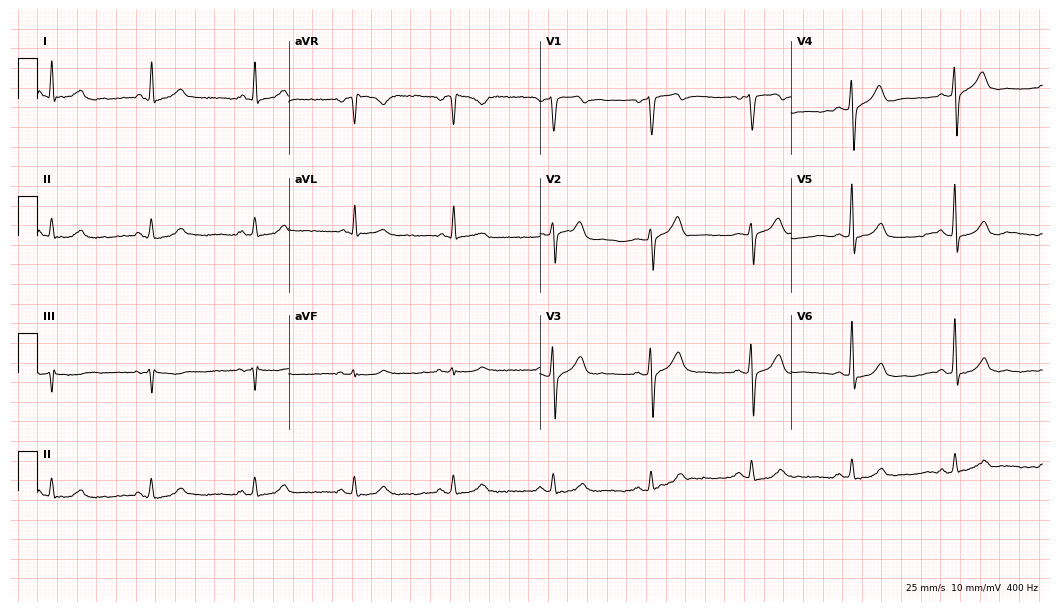
12-lead ECG from a man, 54 years old (10.2-second recording at 400 Hz). Recorded interpretation: within normal limits.